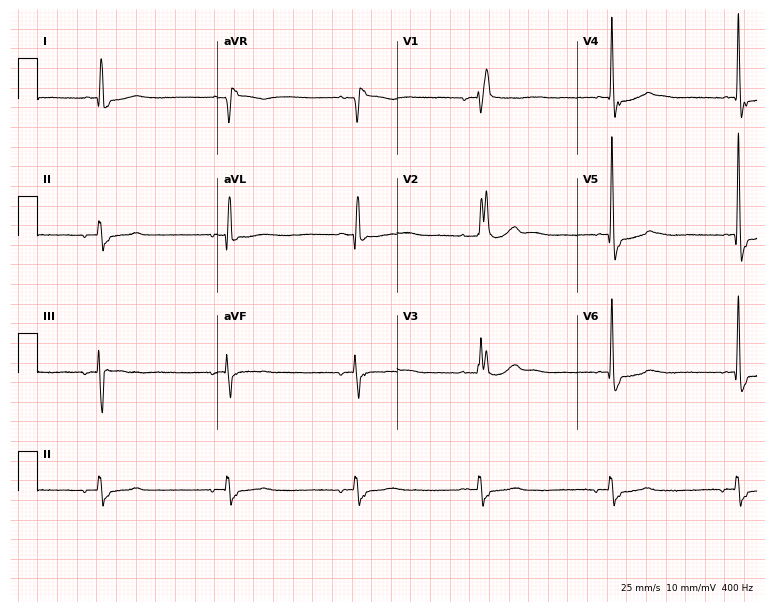
12-lead ECG from a woman, 82 years old. Findings include right bundle branch block (RBBB), sinus bradycardia (a sinus rate of 50 beats per minute or less).